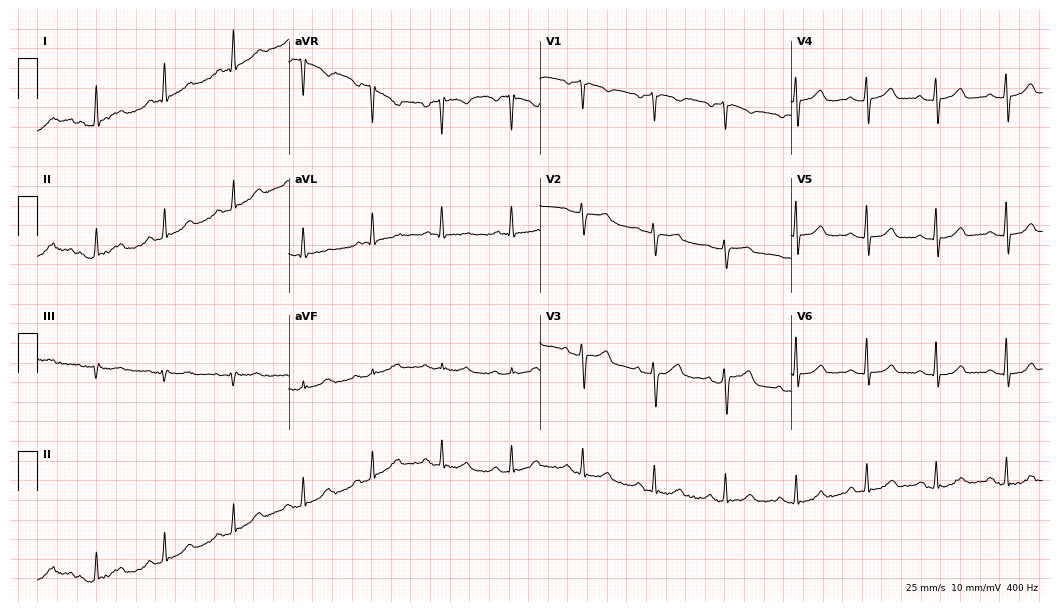
Standard 12-lead ECG recorded from a woman, 65 years old (10.2-second recording at 400 Hz). Read as a normal ECG.